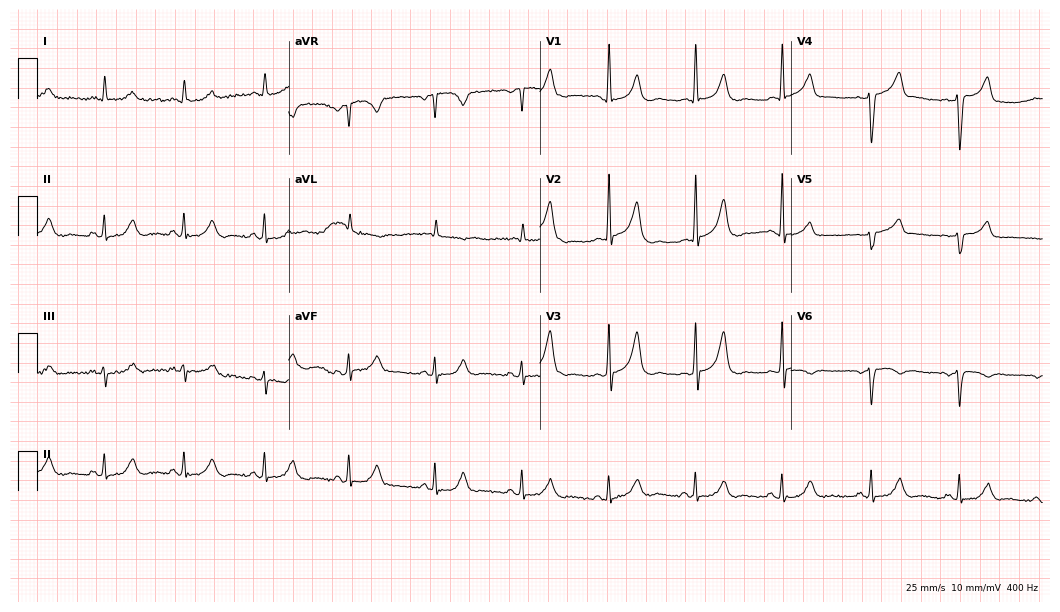
12-lead ECG (10.2-second recording at 400 Hz) from a man, 31 years old. Screened for six findings — first-degree AV block, right bundle branch block, left bundle branch block, sinus bradycardia, atrial fibrillation, sinus tachycardia — none is recorded.